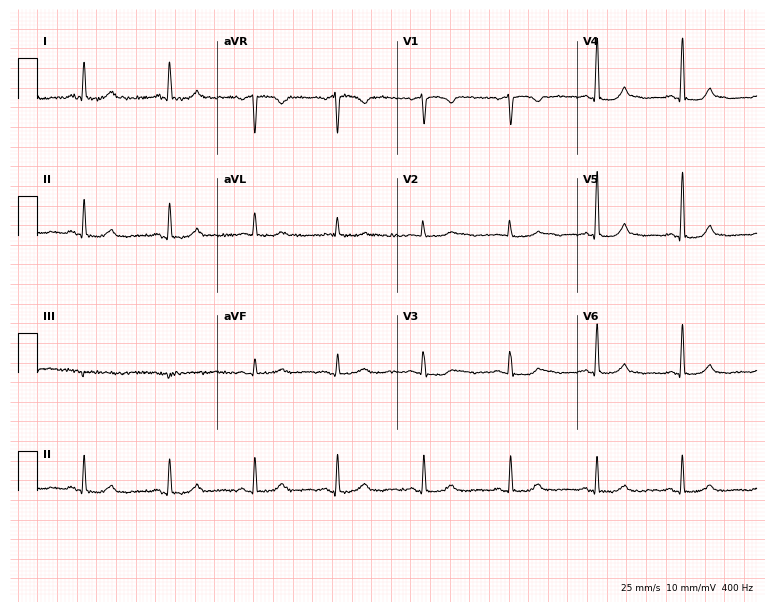
Standard 12-lead ECG recorded from a woman, 62 years old (7.3-second recording at 400 Hz). None of these six findings is recorded: first-degree AV block, right bundle branch block, left bundle branch block, sinus bradycardia, atrial fibrillation, sinus tachycardia. Only these six findings were labelled.